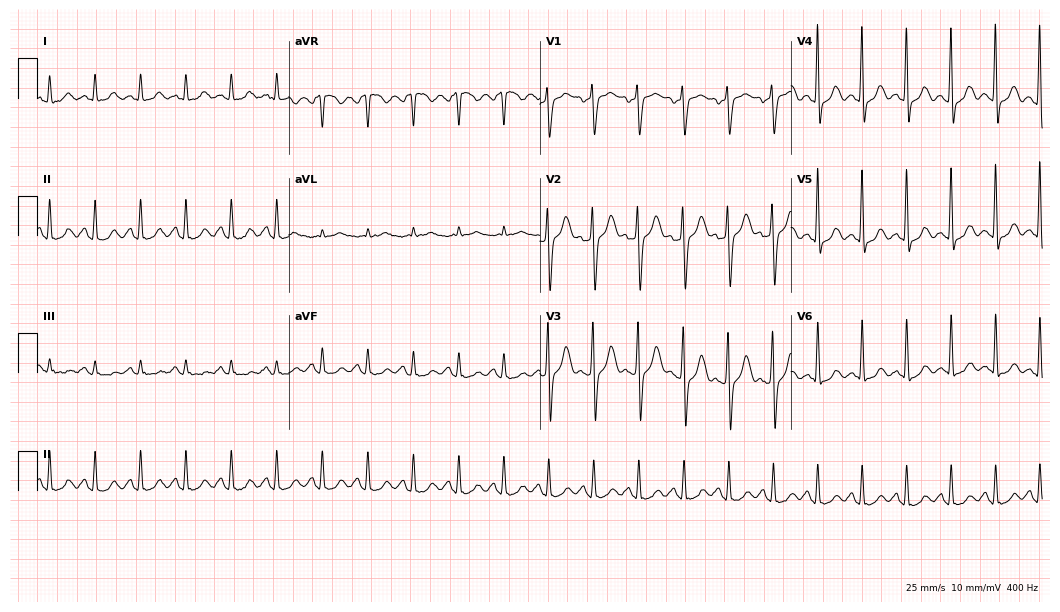
Electrocardiogram (10.2-second recording at 400 Hz), a 64-year-old man. Interpretation includes sinus tachycardia (a sinus rate of 100 beats per minute or more).